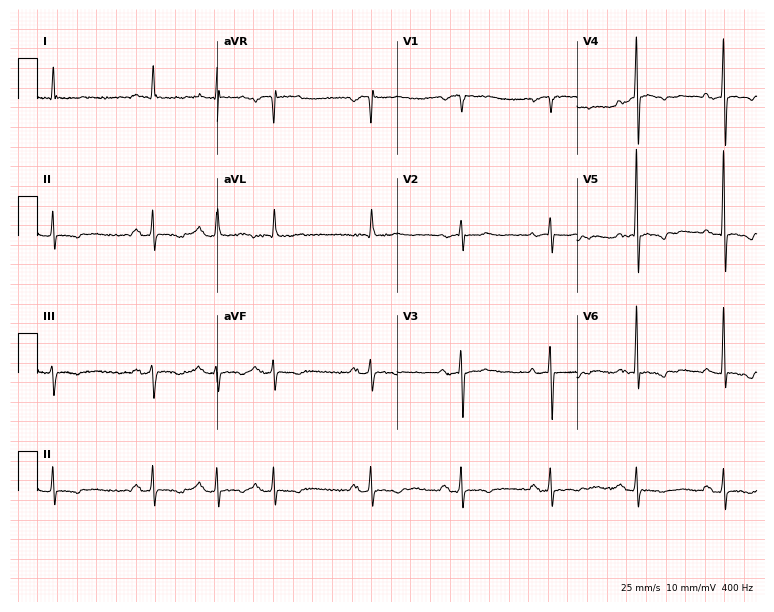
12-lead ECG from a 67-year-old male. No first-degree AV block, right bundle branch block (RBBB), left bundle branch block (LBBB), sinus bradycardia, atrial fibrillation (AF) or sinus tachycardia recorded for this tracing. Findings outside these six are not listed.